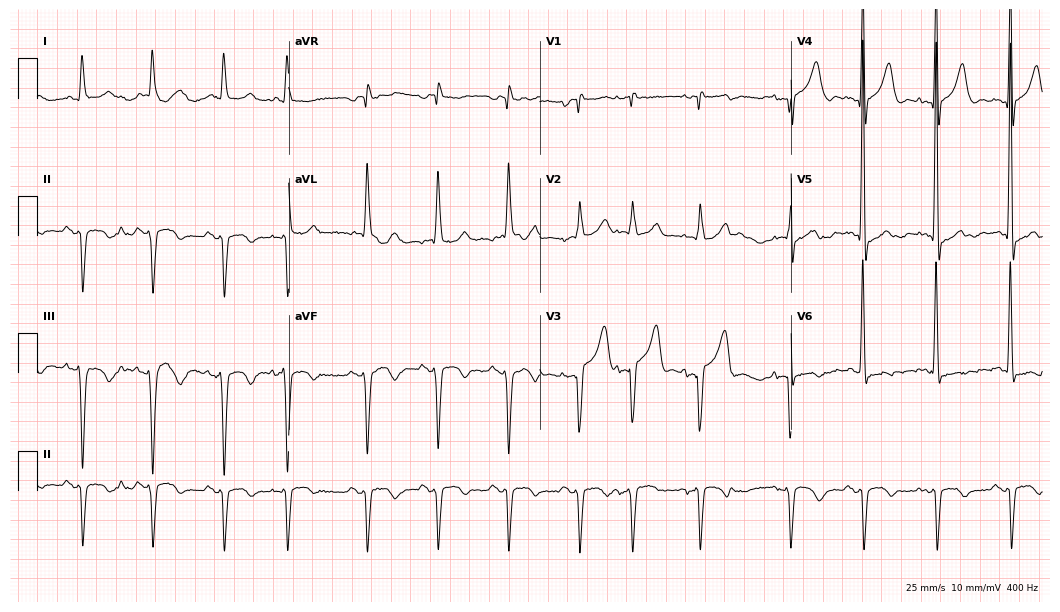
ECG — a 72-year-old male patient. Screened for six findings — first-degree AV block, right bundle branch block, left bundle branch block, sinus bradycardia, atrial fibrillation, sinus tachycardia — none is recorded. Findings outside these six are not listed.